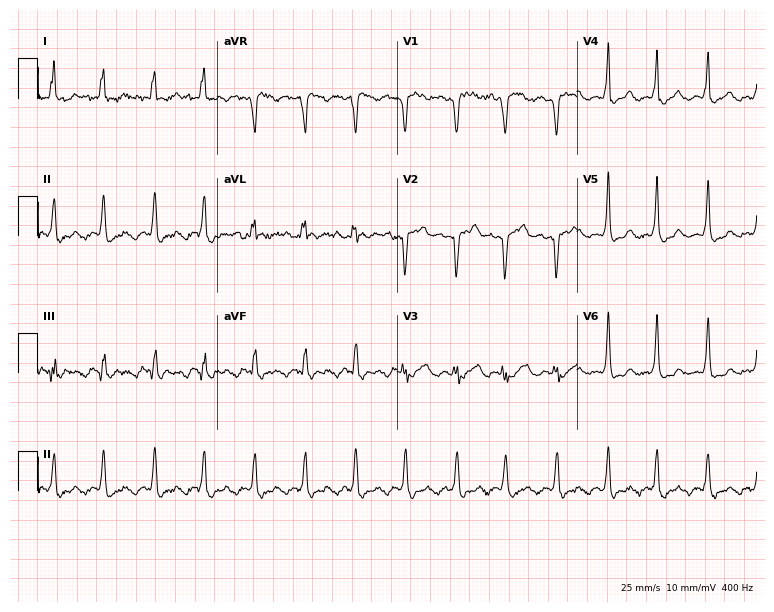
12-lead ECG from a female, 65 years old. No first-degree AV block, right bundle branch block, left bundle branch block, sinus bradycardia, atrial fibrillation or sinus tachycardia recorded for this tracing.